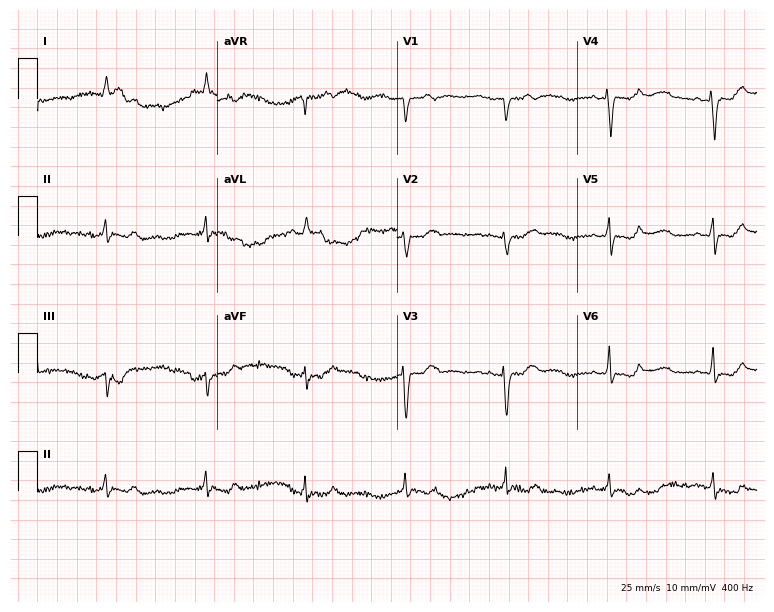
ECG (7.3-second recording at 400 Hz) — a 75-year-old woman. Labelled as a normal ECG.